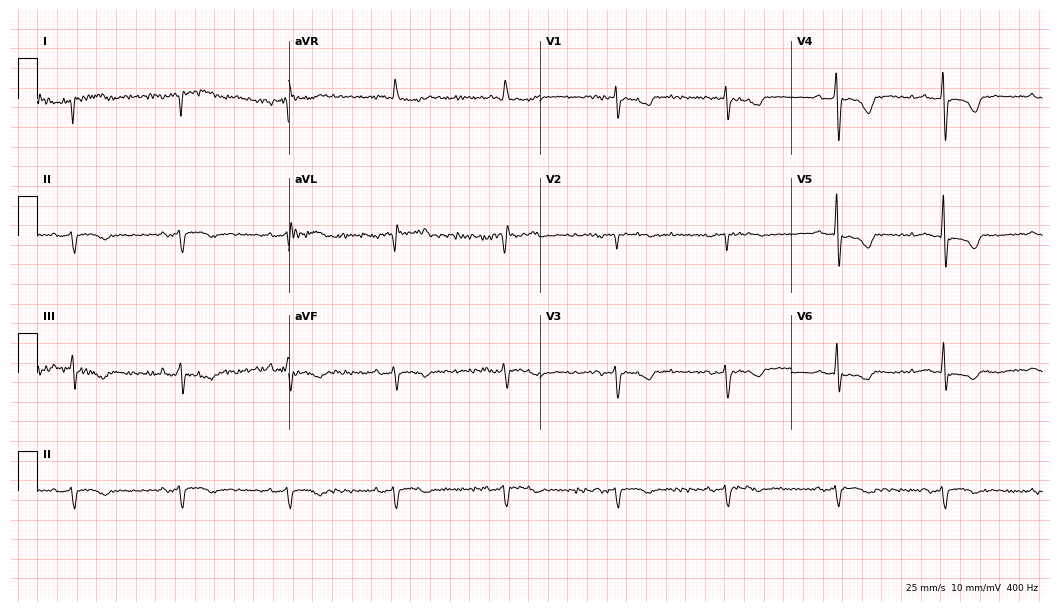
Standard 12-lead ECG recorded from a female, 74 years old (10.2-second recording at 400 Hz). None of these six findings is recorded: first-degree AV block, right bundle branch block (RBBB), left bundle branch block (LBBB), sinus bradycardia, atrial fibrillation (AF), sinus tachycardia. Only these six findings were labelled.